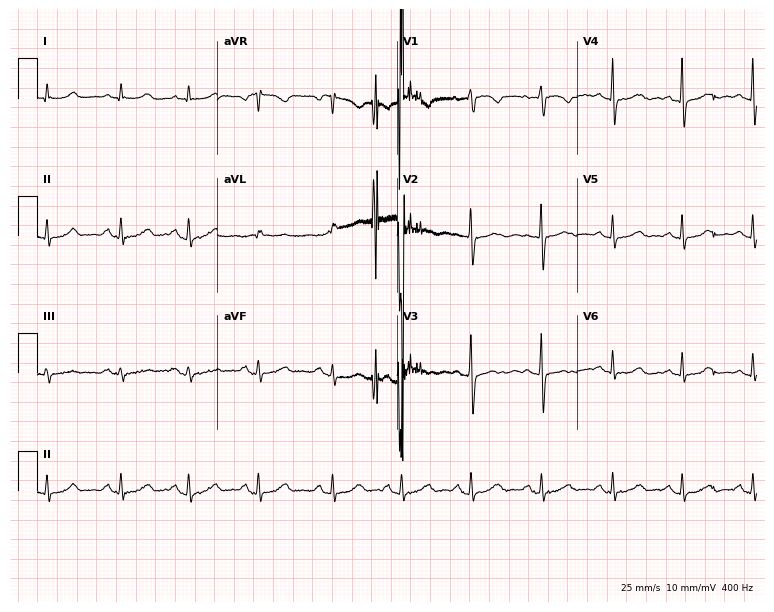
Electrocardiogram, a 70-year-old woman. Overall reading on record: normal ECG.